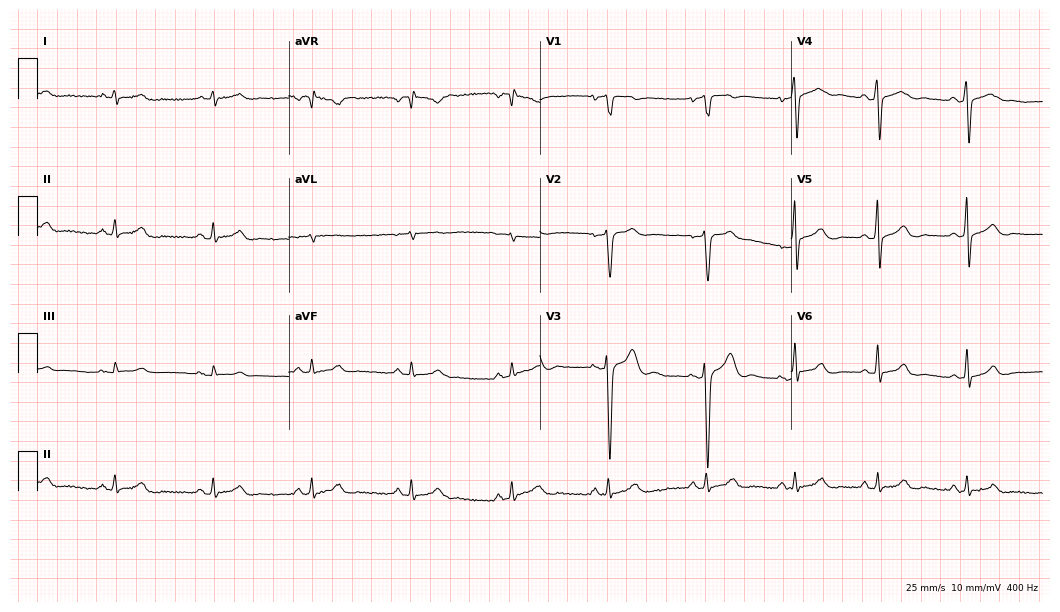
Resting 12-lead electrocardiogram. Patient: a 27-year-old male. Read as a normal ECG.